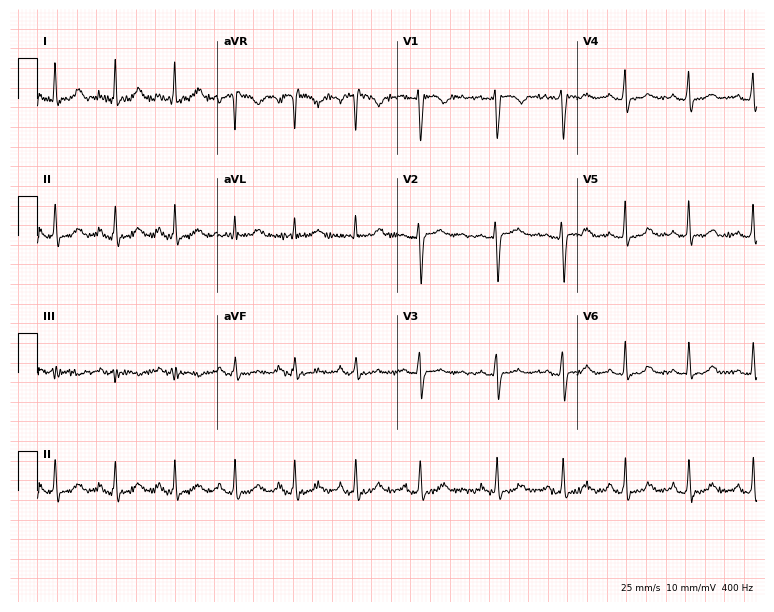
ECG (7.3-second recording at 400 Hz) — a female, 25 years old. Screened for six findings — first-degree AV block, right bundle branch block, left bundle branch block, sinus bradycardia, atrial fibrillation, sinus tachycardia — none is recorded. Other findings, if any, are not listed.